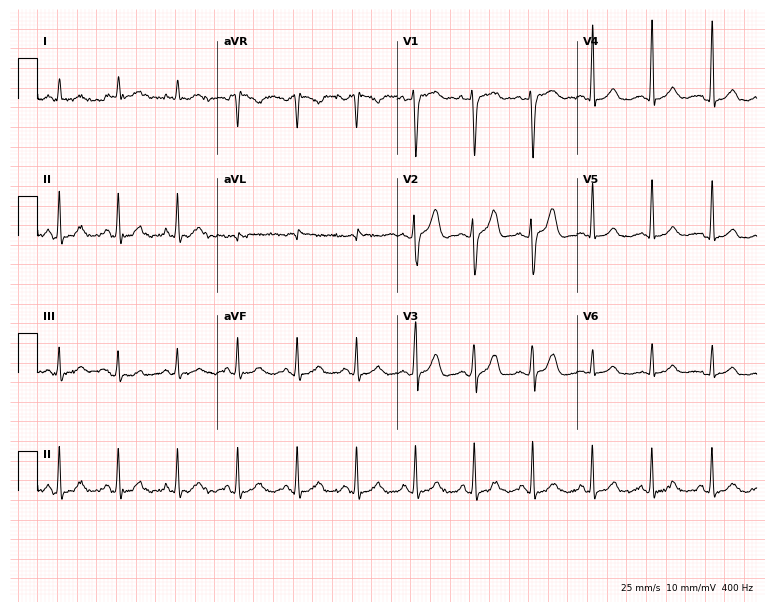
12-lead ECG from a man, 43 years old. No first-degree AV block, right bundle branch block (RBBB), left bundle branch block (LBBB), sinus bradycardia, atrial fibrillation (AF) or sinus tachycardia recorded for this tracing.